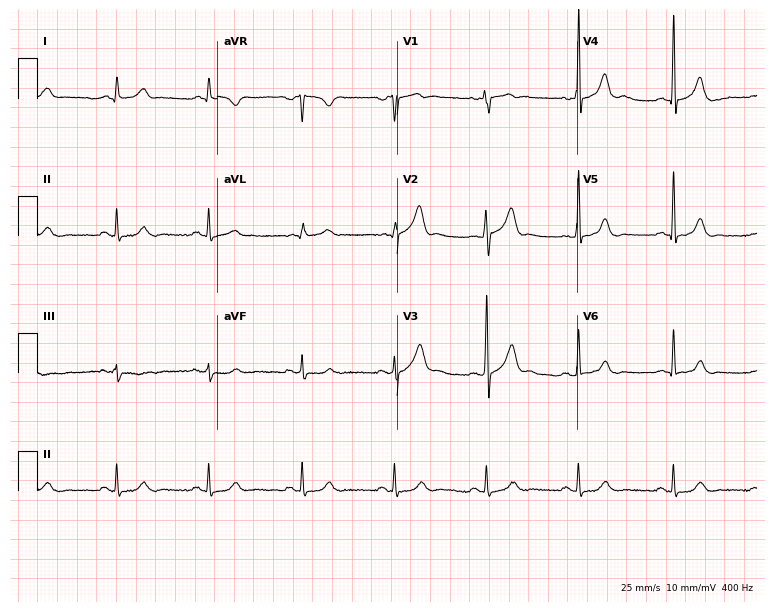
12-lead ECG from a male, 48 years old (7.3-second recording at 400 Hz). Recorded interpretation: within normal limits.